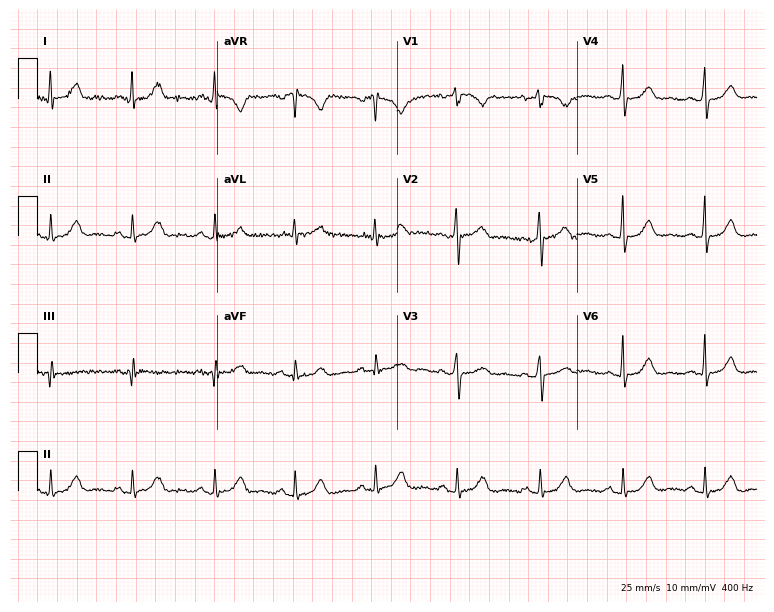
Resting 12-lead electrocardiogram (7.3-second recording at 400 Hz). Patient: a female, 57 years old. None of these six findings is recorded: first-degree AV block, right bundle branch block, left bundle branch block, sinus bradycardia, atrial fibrillation, sinus tachycardia. Other findings, if any, are not listed.